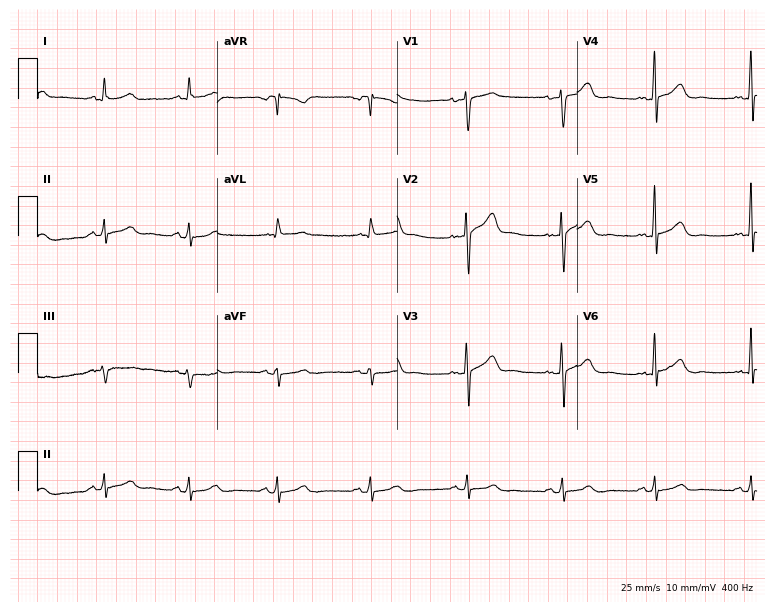
12-lead ECG from a 60-year-old female (7.3-second recording at 400 Hz). Recorded interpretation: within normal limits.